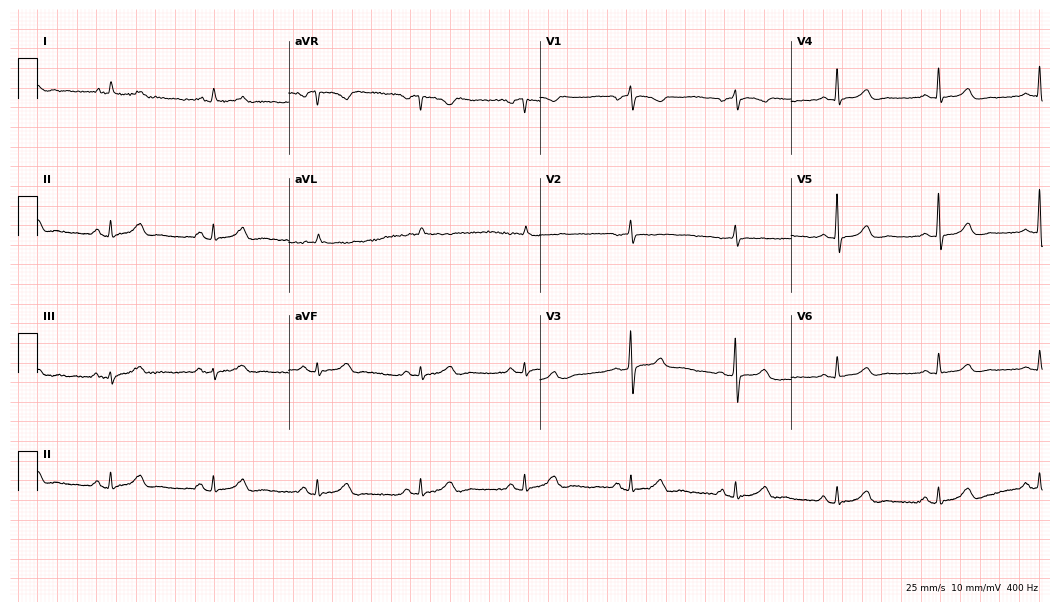
ECG (10.2-second recording at 400 Hz) — an 85-year-old female. Labelled as a normal ECG.